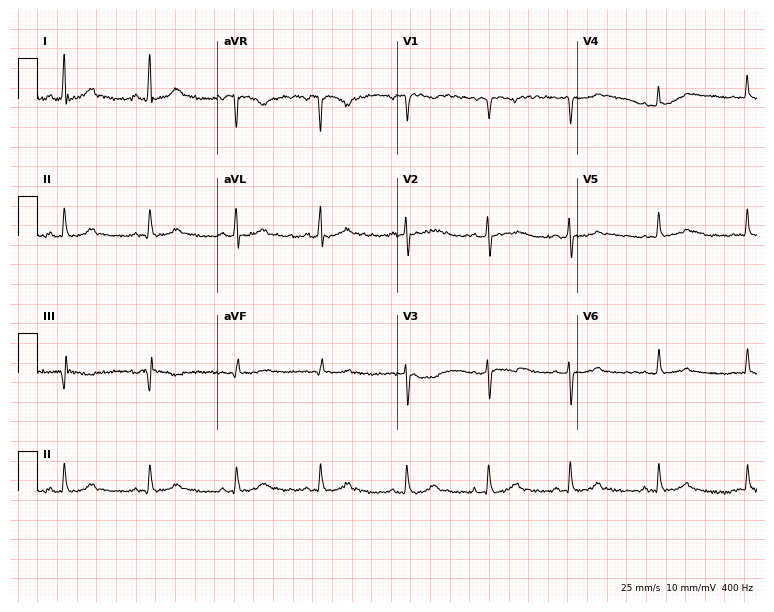
ECG — a female patient, 25 years old. Screened for six findings — first-degree AV block, right bundle branch block (RBBB), left bundle branch block (LBBB), sinus bradycardia, atrial fibrillation (AF), sinus tachycardia — none is recorded. Other findings, if any, are not listed.